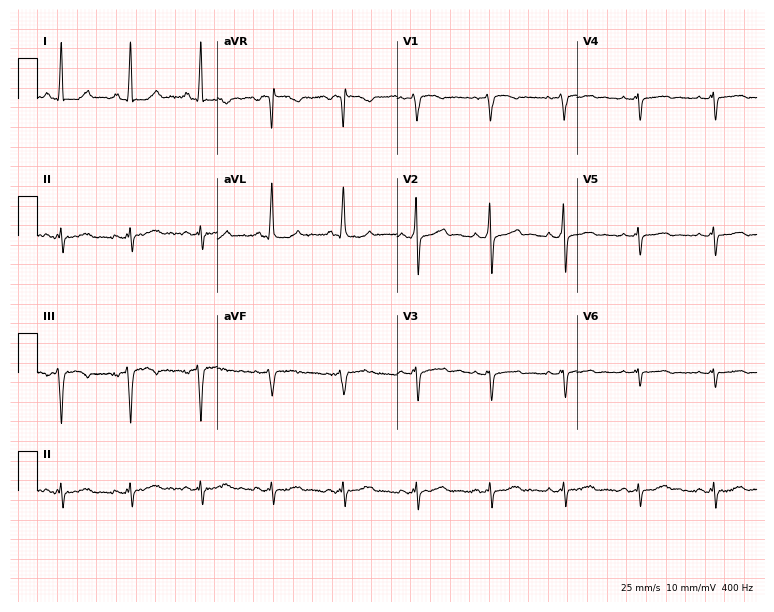
12-lead ECG (7.3-second recording at 400 Hz) from a female, 64 years old. Screened for six findings — first-degree AV block, right bundle branch block, left bundle branch block, sinus bradycardia, atrial fibrillation, sinus tachycardia — none is recorded. Only these six findings were labelled.